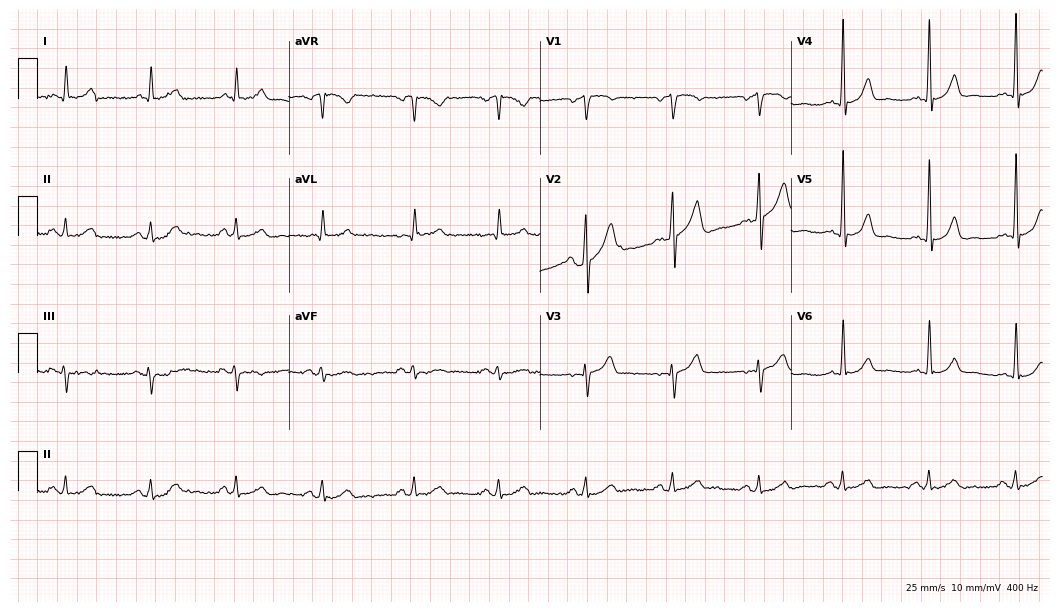
Standard 12-lead ECG recorded from a 56-year-old male. Read as a normal ECG.